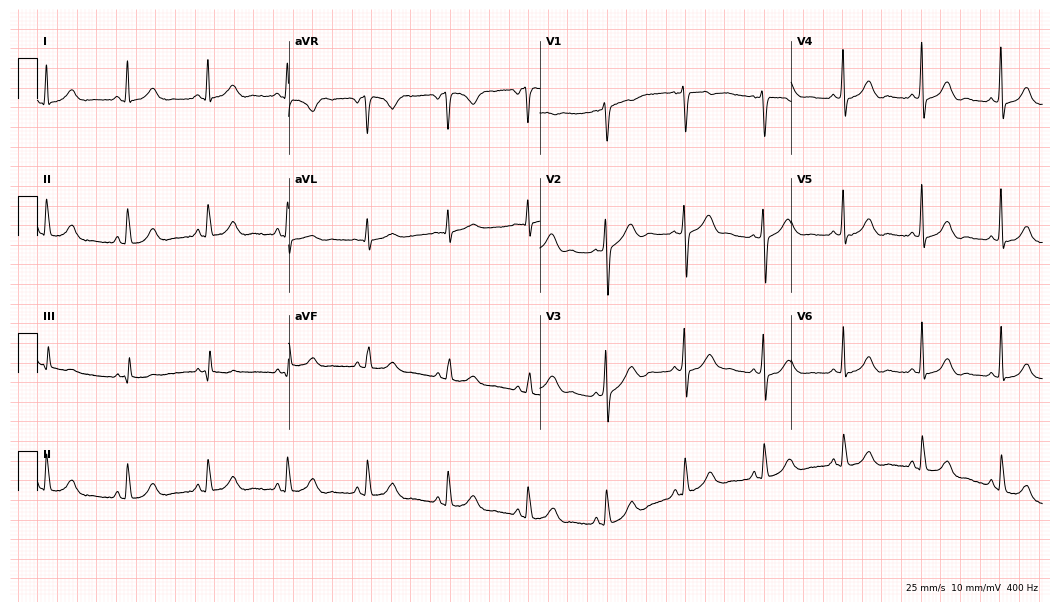
Electrocardiogram (10.2-second recording at 400 Hz), a woman, 43 years old. Overall reading on record: normal ECG.